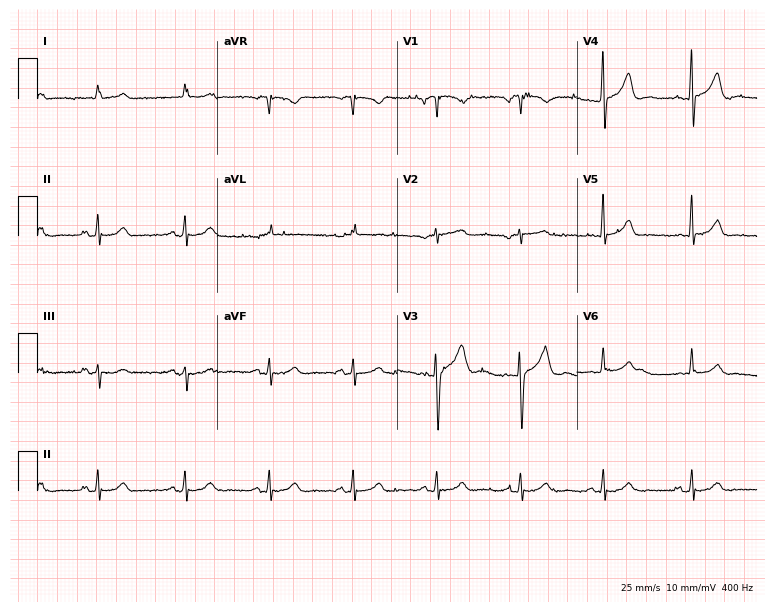
ECG (7.3-second recording at 400 Hz) — an 80-year-old male. Labelled as a normal ECG.